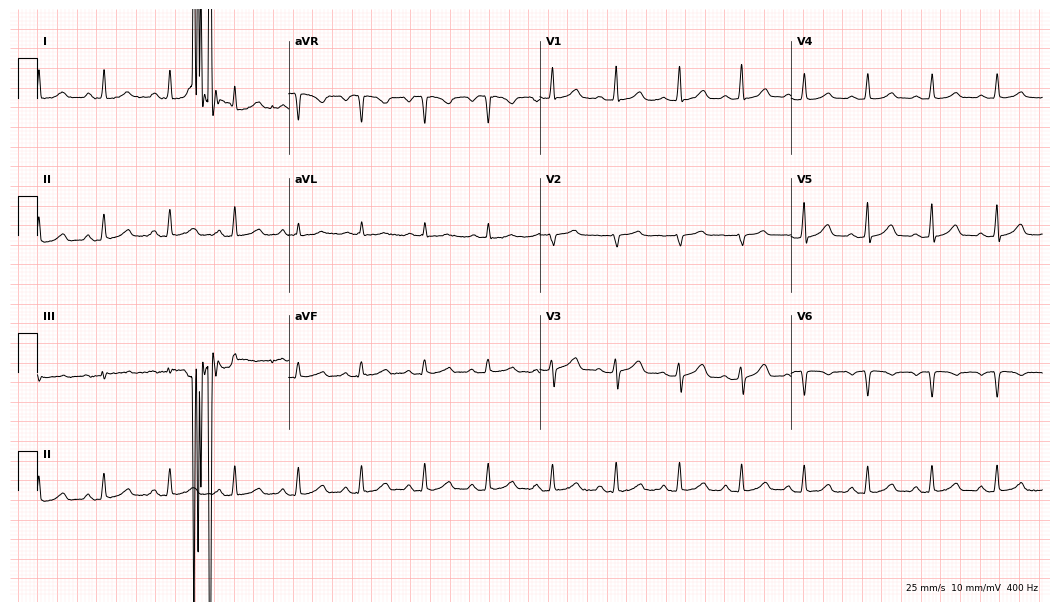
12-lead ECG from a 59-year-old female patient. No first-degree AV block, right bundle branch block, left bundle branch block, sinus bradycardia, atrial fibrillation or sinus tachycardia recorded for this tracing. Only these six findings were labelled.